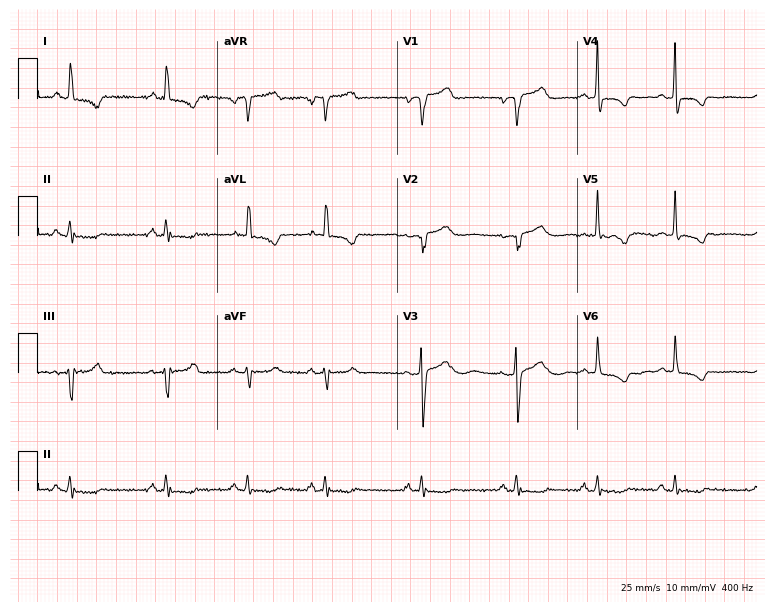
Electrocardiogram (7.3-second recording at 400 Hz), a woman, 70 years old. Of the six screened findings (first-degree AV block, right bundle branch block, left bundle branch block, sinus bradycardia, atrial fibrillation, sinus tachycardia), none is recorded.